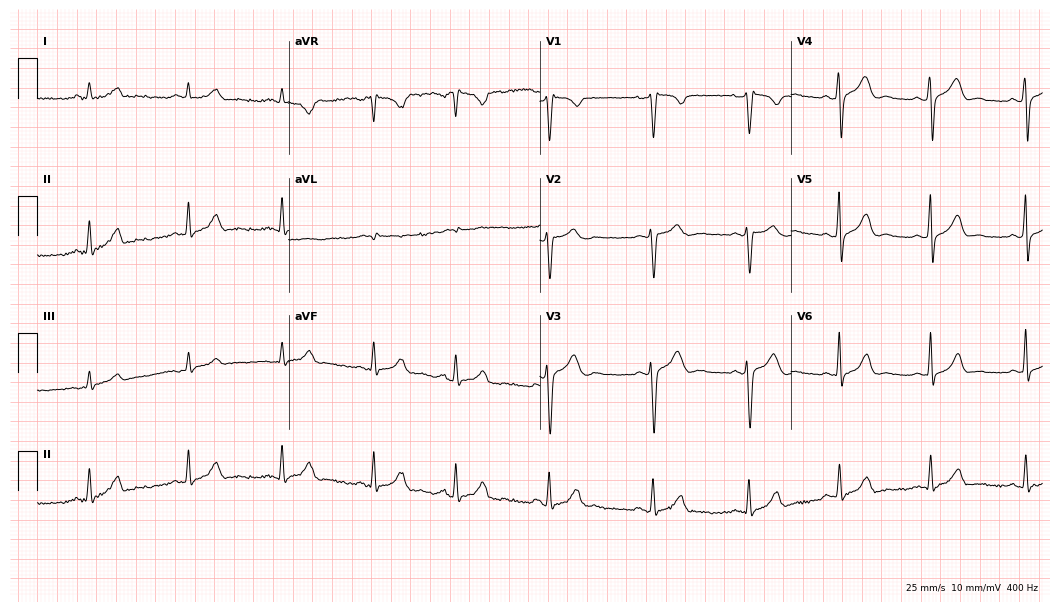
Electrocardiogram (10.2-second recording at 400 Hz), a man, 32 years old. Overall reading on record: normal ECG.